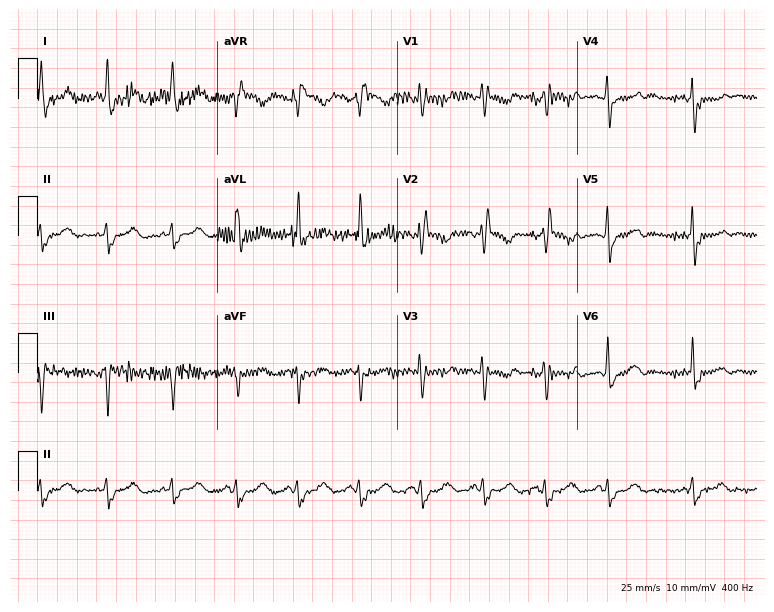
ECG (7.3-second recording at 400 Hz) — a 79-year-old female patient. Findings include right bundle branch block (RBBB).